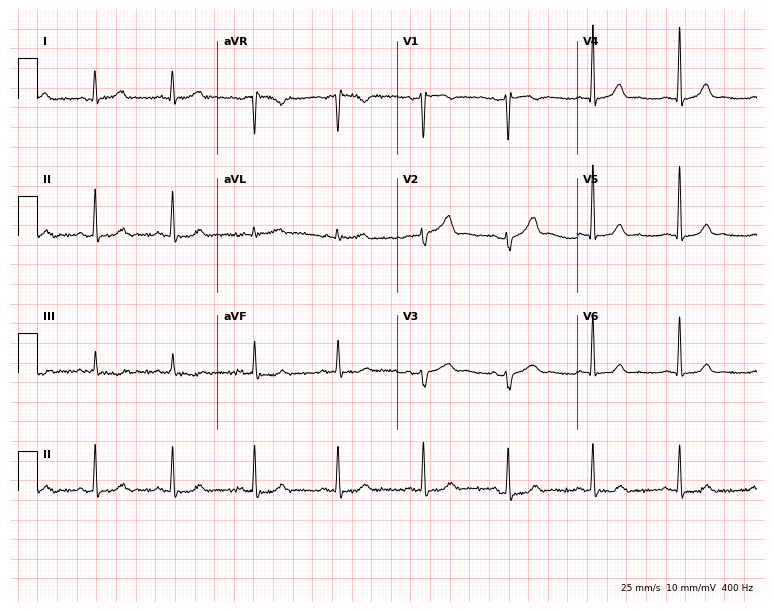
ECG — a 56-year-old female patient. Screened for six findings — first-degree AV block, right bundle branch block, left bundle branch block, sinus bradycardia, atrial fibrillation, sinus tachycardia — none is recorded. Only these six findings were labelled.